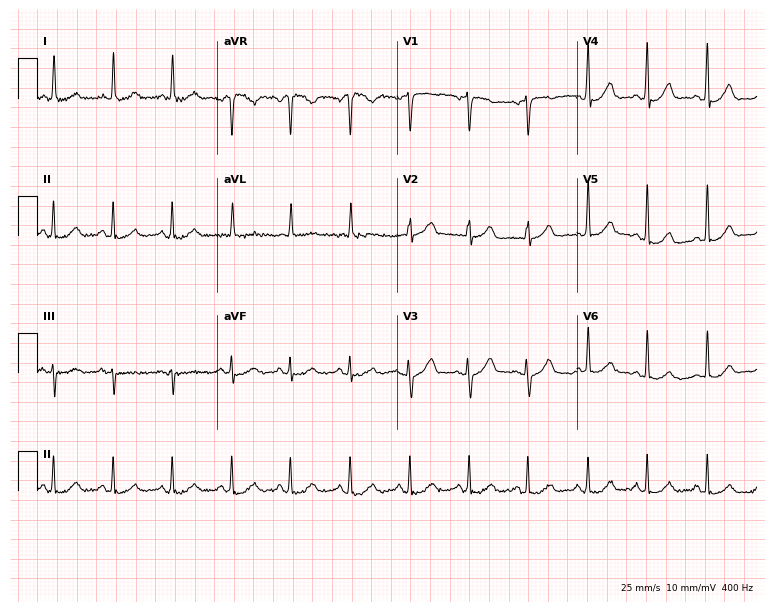
12-lead ECG (7.3-second recording at 400 Hz) from a female, 70 years old. Labelled as a normal ECG.